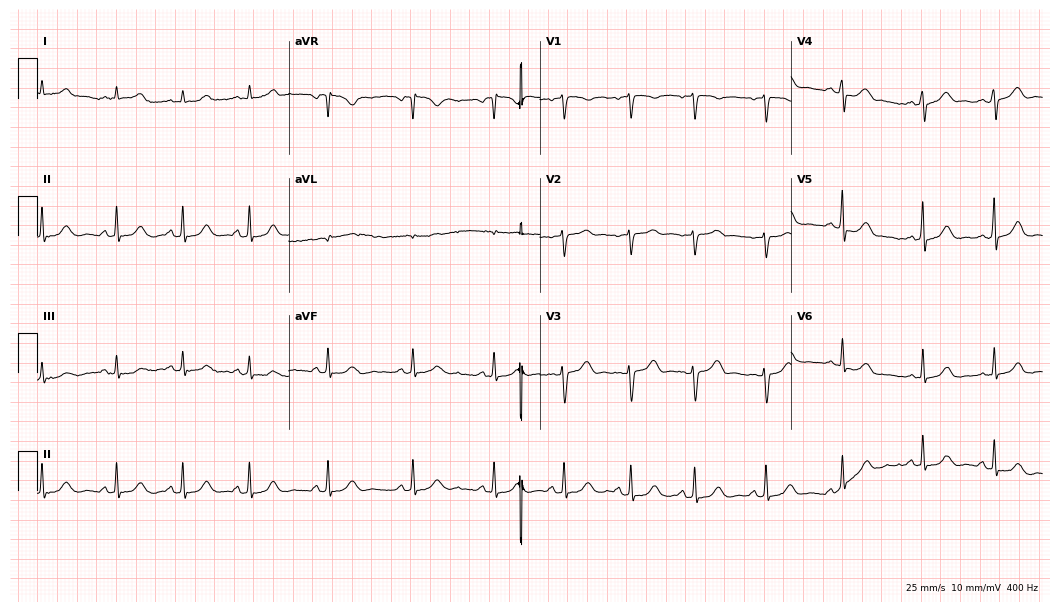
Resting 12-lead electrocardiogram (10.2-second recording at 400 Hz). Patient: a 48-year-old female. None of these six findings is recorded: first-degree AV block, right bundle branch block (RBBB), left bundle branch block (LBBB), sinus bradycardia, atrial fibrillation (AF), sinus tachycardia. Only these six findings were labelled.